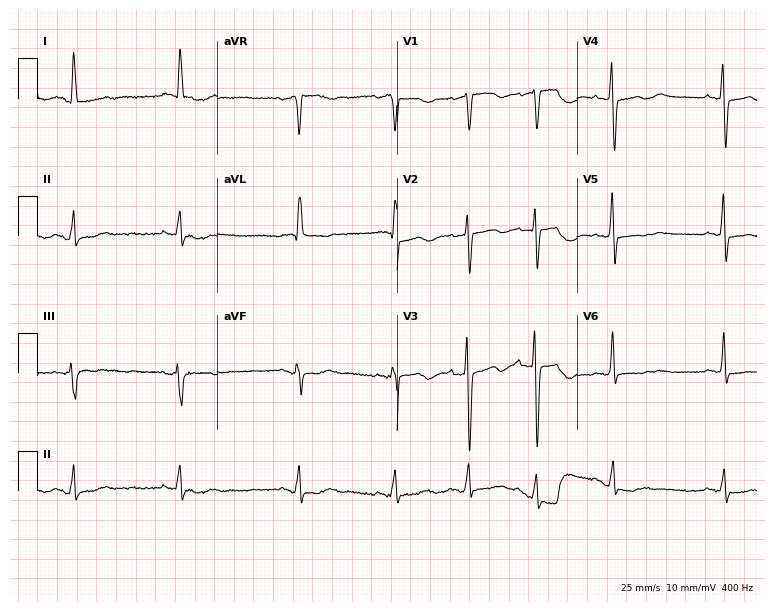
Resting 12-lead electrocardiogram. Patient: an 83-year-old woman. None of these six findings is recorded: first-degree AV block, right bundle branch block (RBBB), left bundle branch block (LBBB), sinus bradycardia, atrial fibrillation (AF), sinus tachycardia. Only these six findings were labelled.